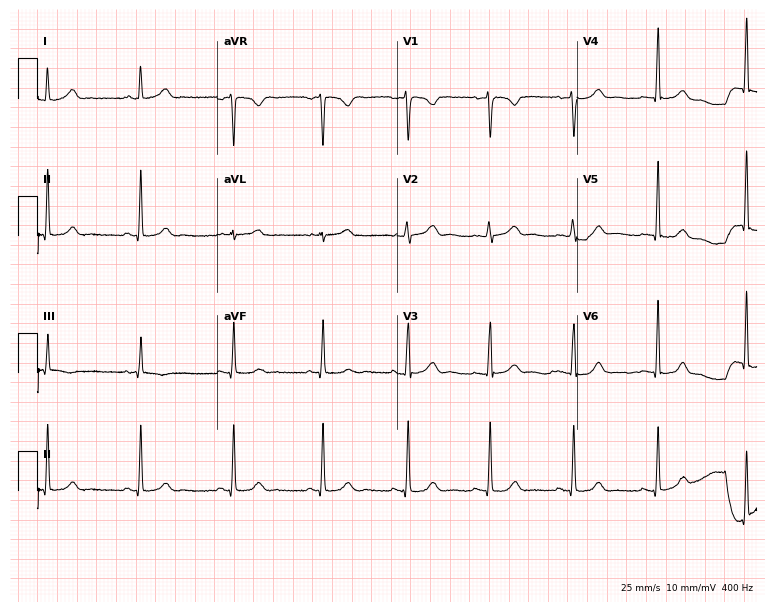
Electrocardiogram, a man, 33 years old. Overall reading on record: normal ECG.